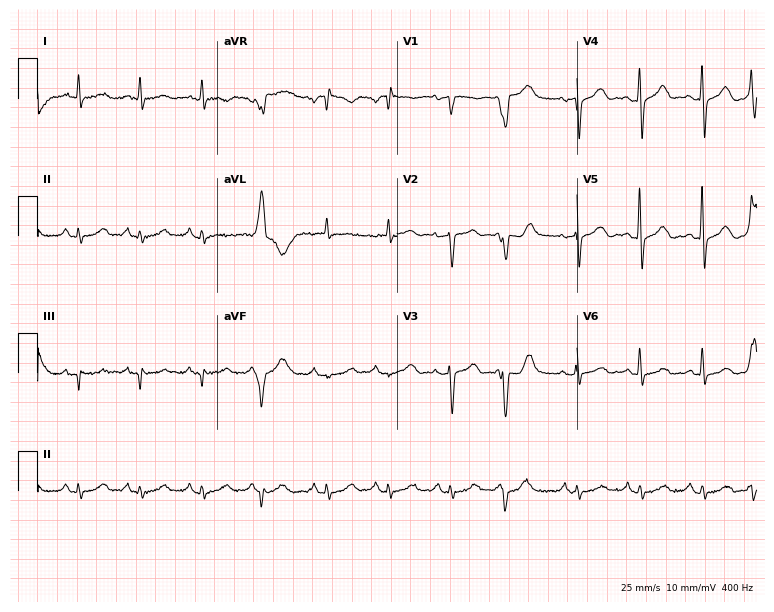
Standard 12-lead ECG recorded from a woman, 76 years old (7.3-second recording at 400 Hz). None of these six findings is recorded: first-degree AV block, right bundle branch block, left bundle branch block, sinus bradycardia, atrial fibrillation, sinus tachycardia.